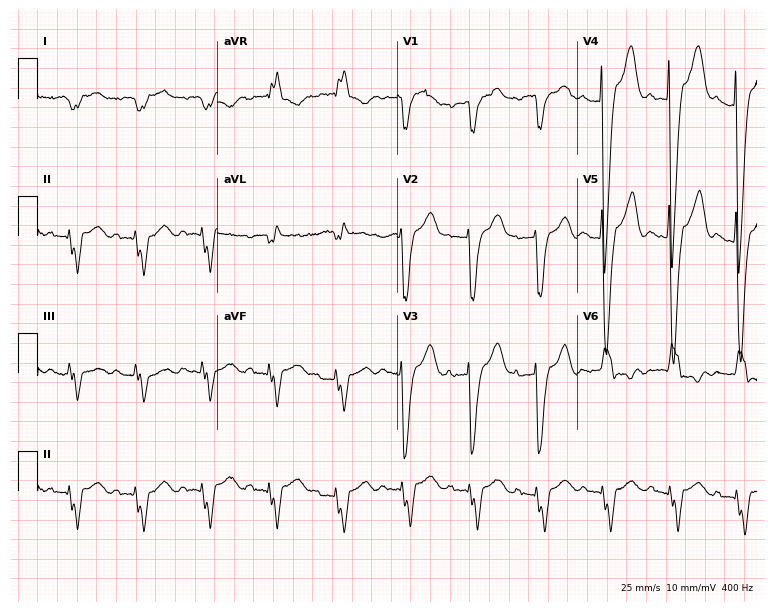
Electrocardiogram (7.3-second recording at 400 Hz), an 81-year-old man. Of the six screened findings (first-degree AV block, right bundle branch block, left bundle branch block, sinus bradycardia, atrial fibrillation, sinus tachycardia), none is recorded.